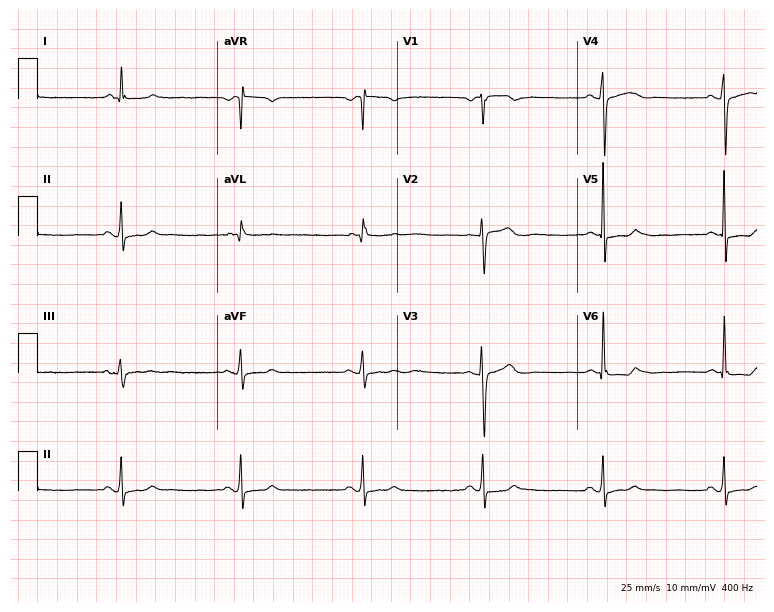
Resting 12-lead electrocardiogram (7.3-second recording at 400 Hz). Patient: a 68-year-old male. The tracing shows sinus bradycardia (a sinus rate of 50 beats per minute or less).